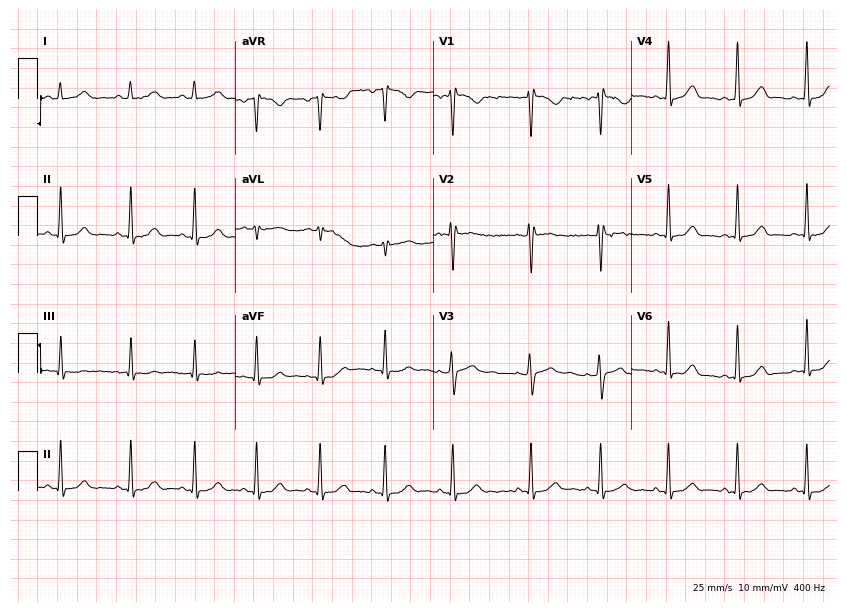
Standard 12-lead ECG recorded from a 19-year-old female (8.1-second recording at 400 Hz). None of these six findings is recorded: first-degree AV block, right bundle branch block (RBBB), left bundle branch block (LBBB), sinus bradycardia, atrial fibrillation (AF), sinus tachycardia.